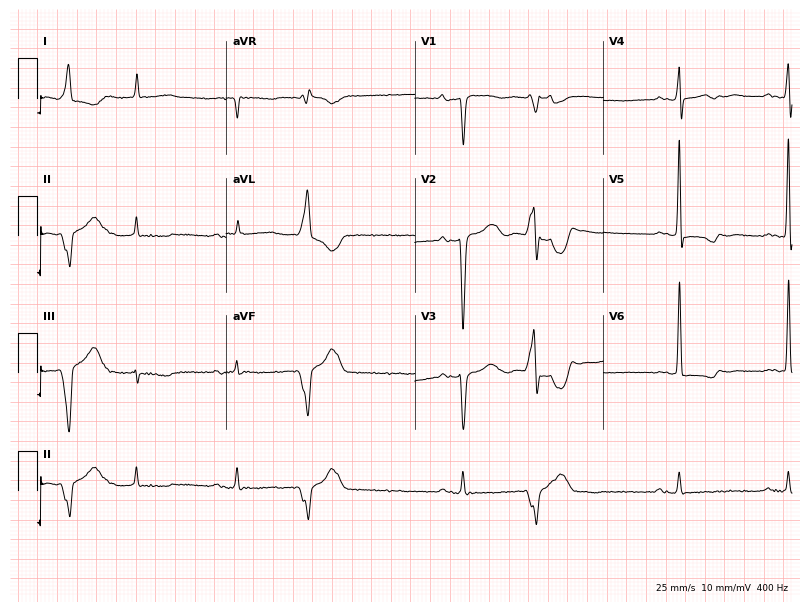
Electrocardiogram (7.7-second recording at 400 Hz), an 80-year-old male. Of the six screened findings (first-degree AV block, right bundle branch block (RBBB), left bundle branch block (LBBB), sinus bradycardia, atrial fibrillation (AF), sinus tachycardia), none is recorded. Only these six findings were labelled.